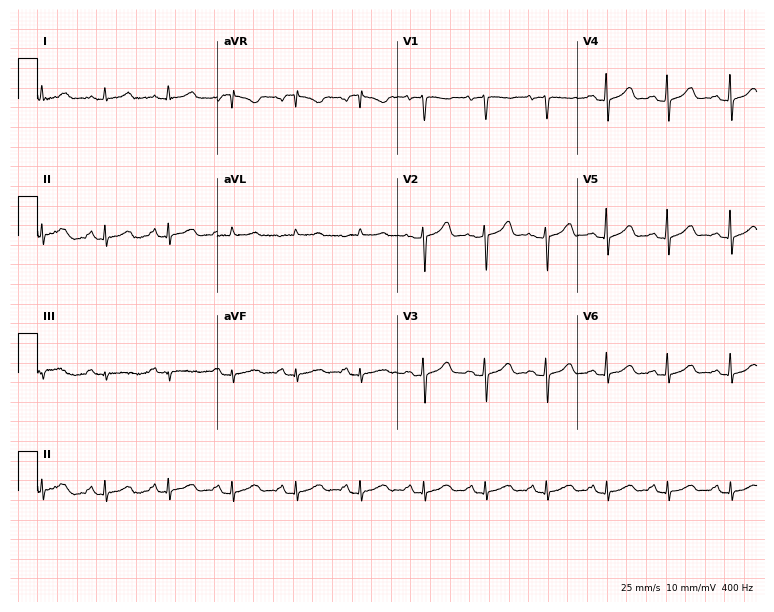
Electrocardiogram (7.3-second recording at 400 Hz), a 40-year-old female. Overall reading on record: normal ECG.